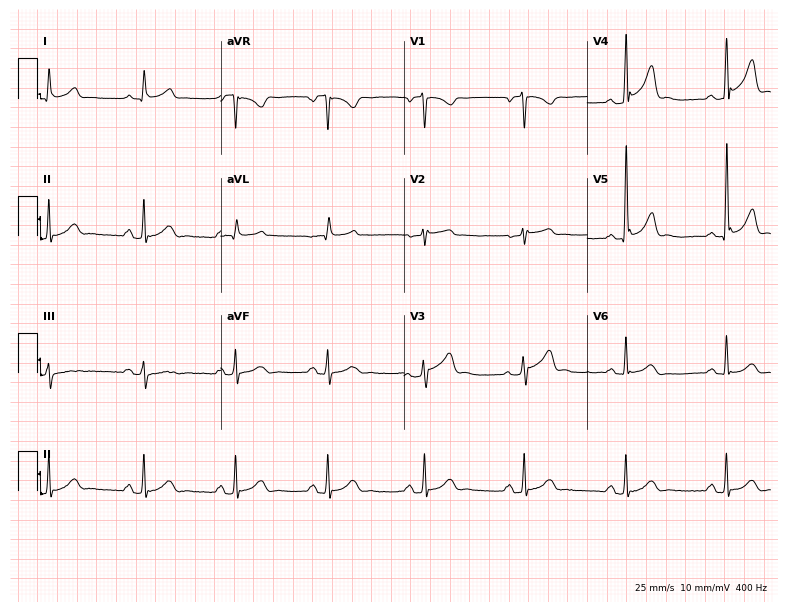
Resting 12-lead electrocardiogram (7.5-second recording at 400 Hz). Patient: a 70-year-old male. Read as a normal ECG.